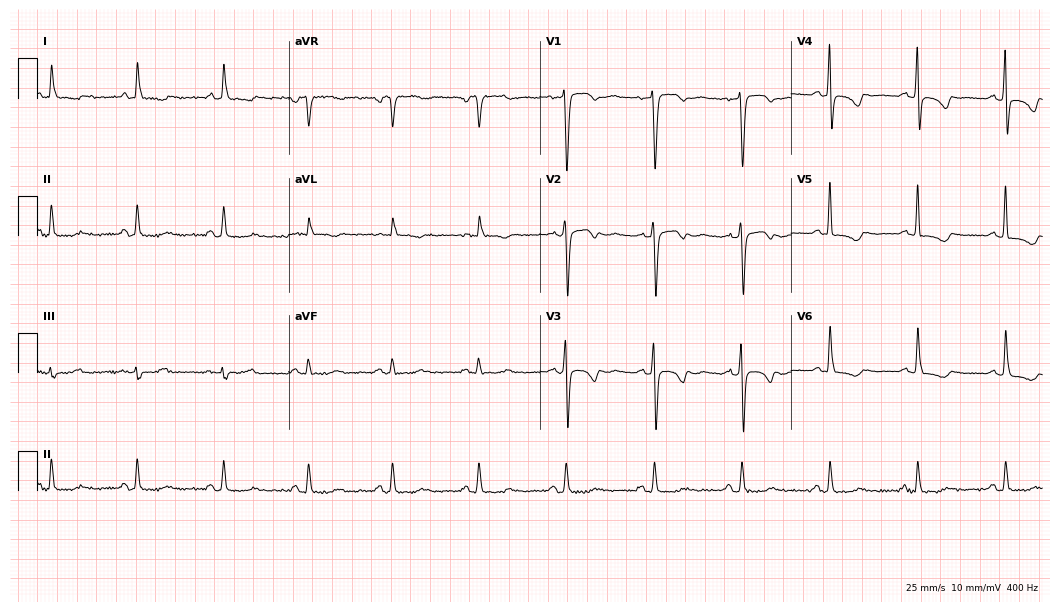
12-lead ECG from a female patient, 64 years old. No first-degree AV block, right bundle branch block, left bundle branch block, sinus bradycardia, atrial fibrillation or sinus tachycardia recorded for this tracing. Findings outside these six are not listed.